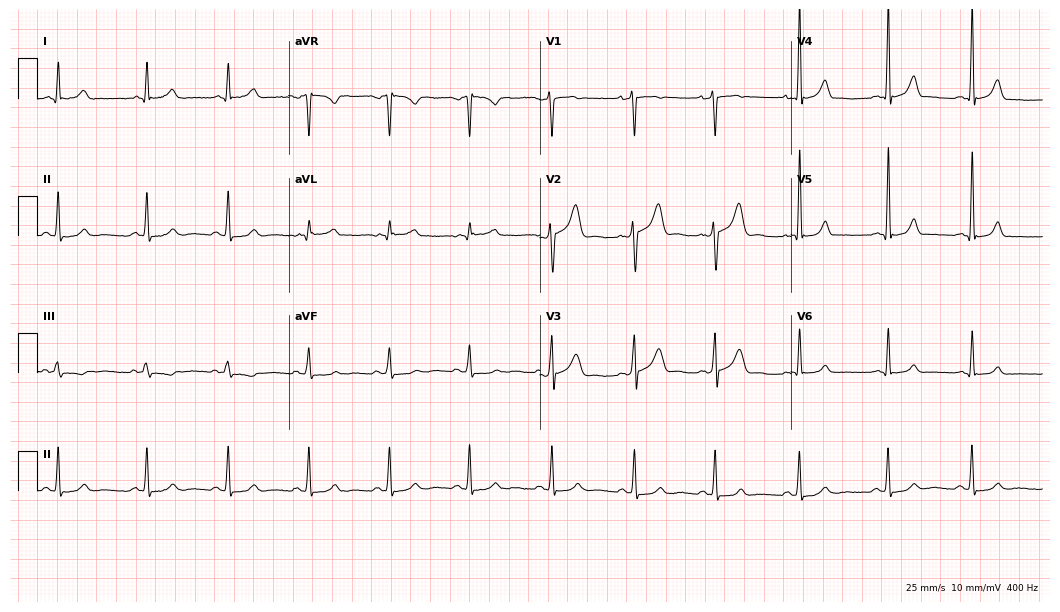
Resting 12-lead electrocardiogram (10.2-second recording at 400 Hz). Patient: a male, 30 years old. None of these six findings is recorded: first-degree AV block, right bundle branch block, left bundle branch block, sinus bradycardia, atrial fibrillation, sinus tachycardia. Only these six findings were labelled.